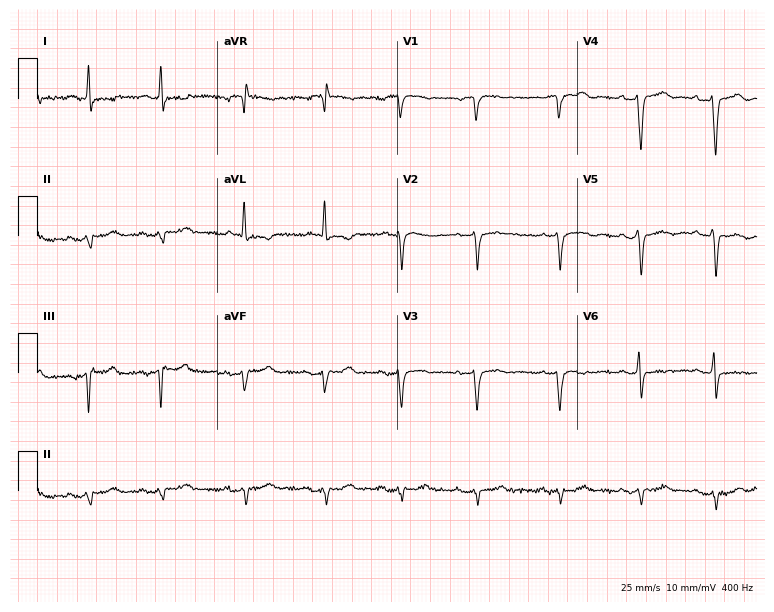
12-lead ECG from a 72-year-old female (7.3-second recording at 400 Hz). No first-degree AV block, right bundle branch block, left bundle branch block, sinus bradycardia, atrial fibrillation or sinus tachycardia recorded for this tracing.